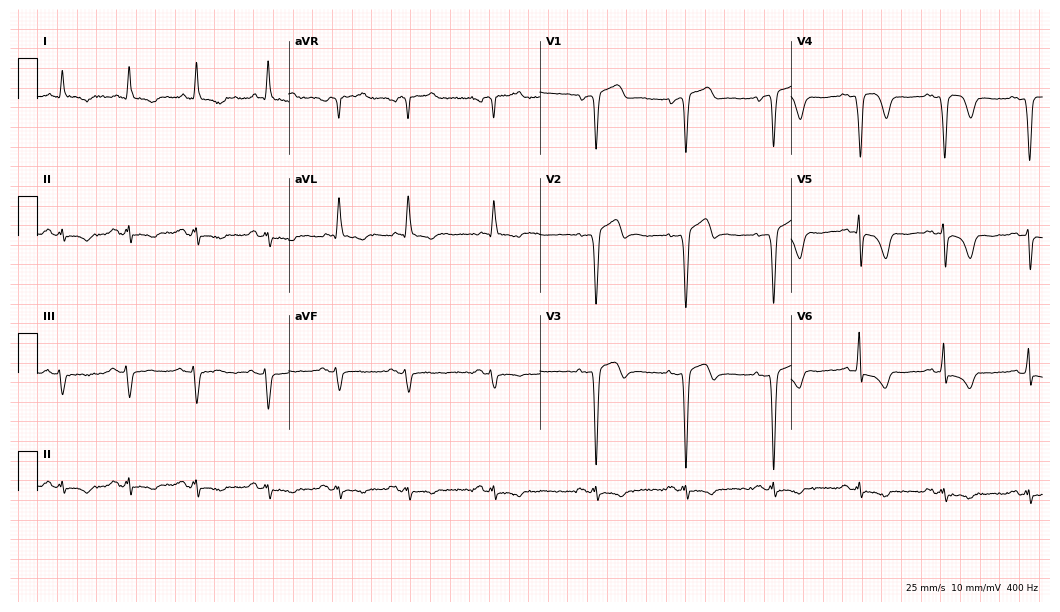
Electrocardiogram (10.2-second recording at 400 Hz), a 77-year-old male patient. Of the six screened findings (first-degree AV block, right bundle branch block, left bundle branch block, sinus bradycardia, atrial fibrillation, sinus tachycardia), none is recorded.